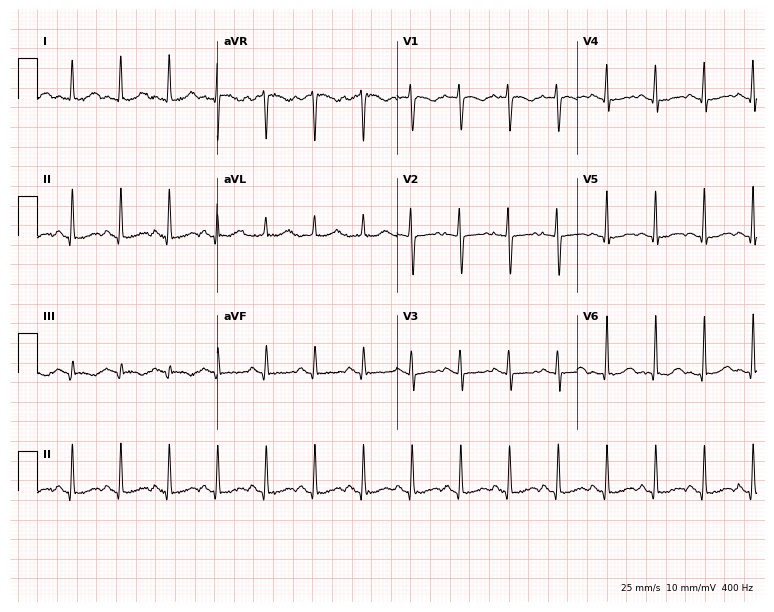
Standard 12-lead ECG recorded from a woman, 39 years old (7.3-second recording at 400 Hz). The tracing shows sinus tachycardia (a sinus rate of 100 beats per minute or more).